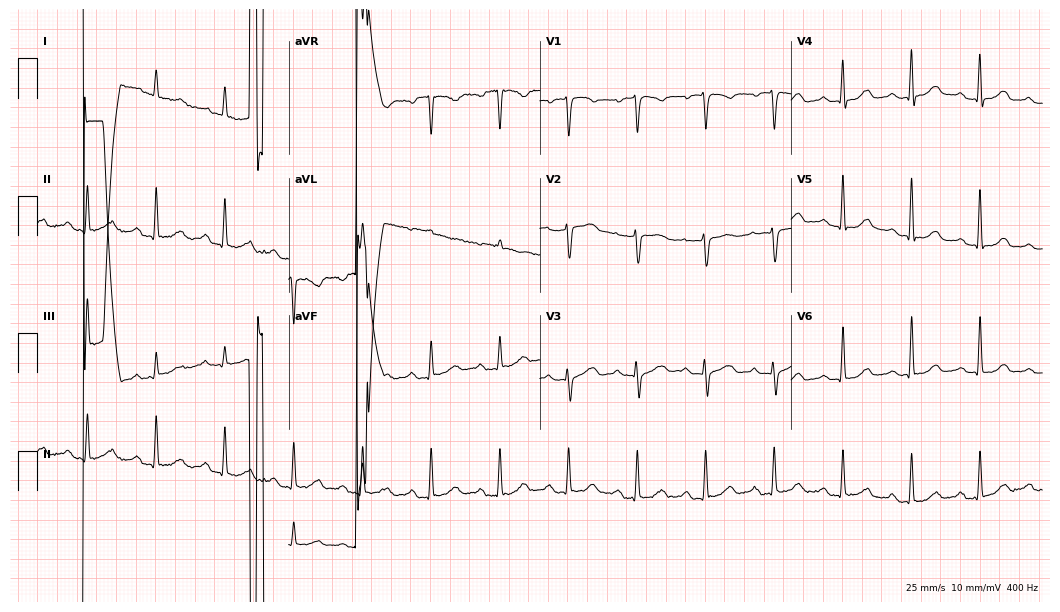
12-lead ECG from a 76-year-old female patient. No first-degree AV block, right bundle branch block (RBBB), left bundle branch block (LBBB), sinus bradycardia, atrial fibrillation (AF) or sinus tachycardia recorded for this tracing. Findings outside these six are not listed.